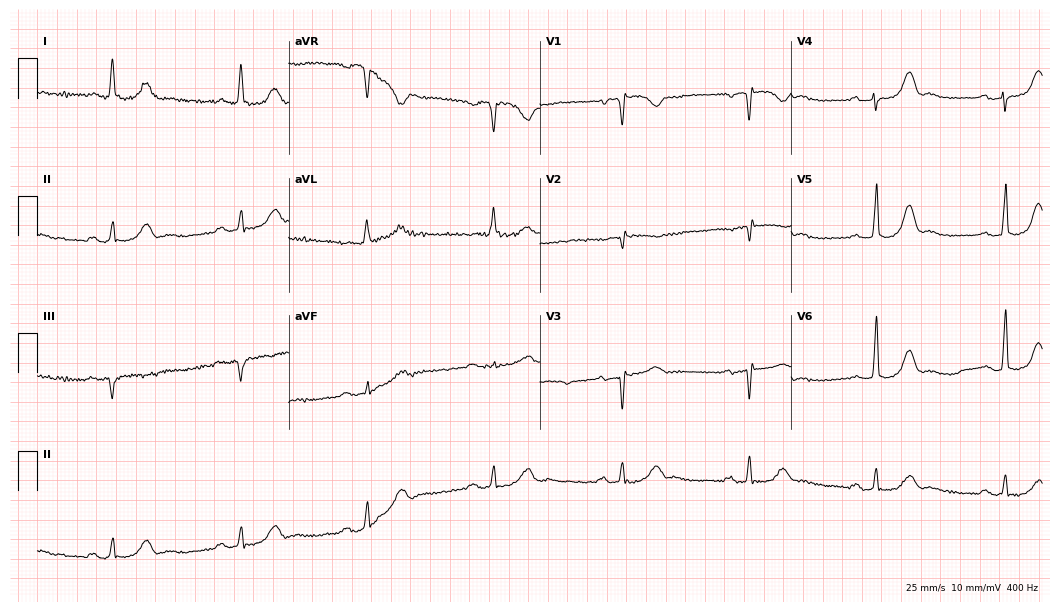
Standard 12-lead ECG recorded from a 73-year-old female (10.2-second recording at 400 Hz). The tracing shows first-degree AV block, sinus bradycardia (a sinus rate of 50 beats per minute or less).